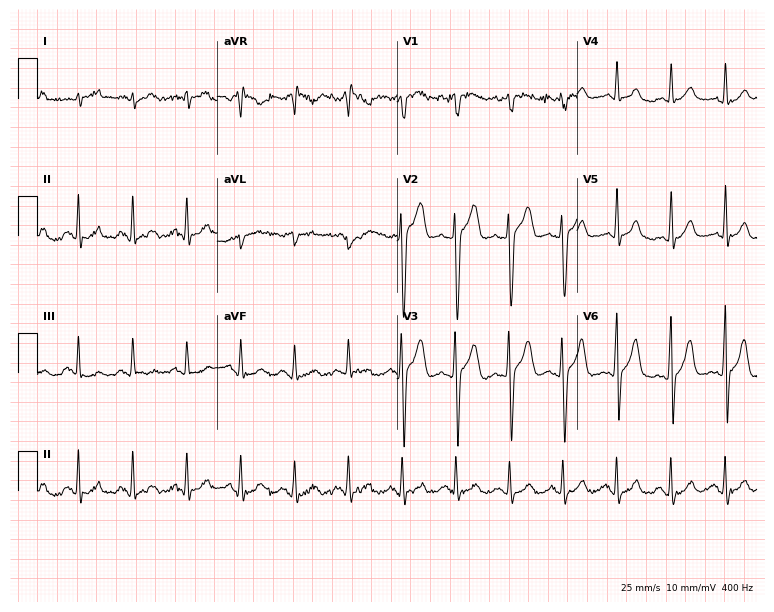
12-lead ECG from a 30-year-old male. Findings include sinus tachycardia (a sinus rate of 100 beats per minute or more).